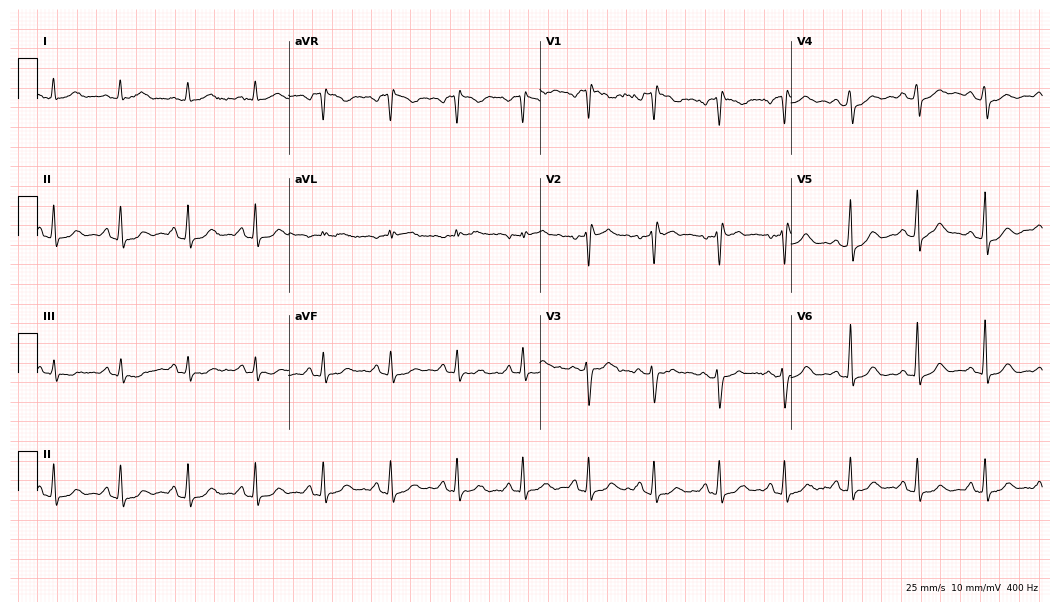
12-lead ECG from a 45-year-old female. No first-degree AV block, right bundle branch block, left bundle branch block, sinus bradycardia, atrial fibrillation or sinus tachycardia recorded for this tracing. Other findings, if any, are not listed.